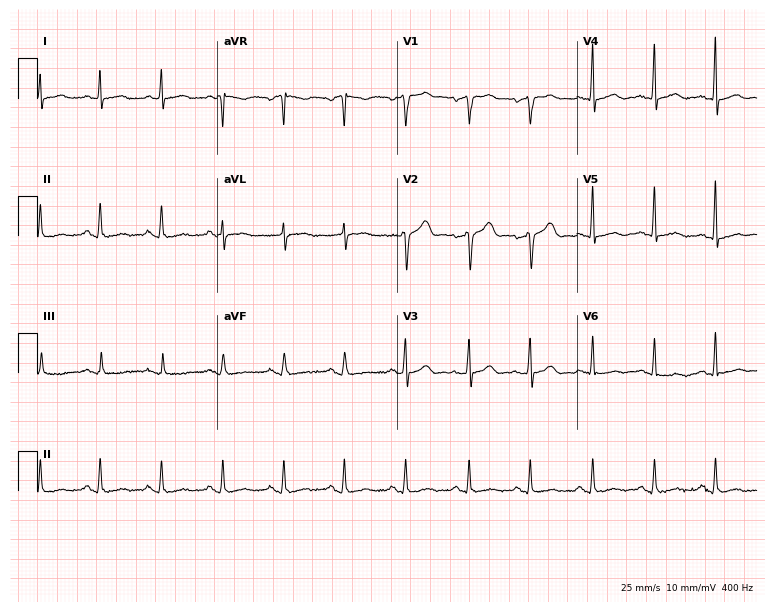
Resting 12-lead electrocardiogram. Patient: a 50-year-old man. Read as a normal ECG.